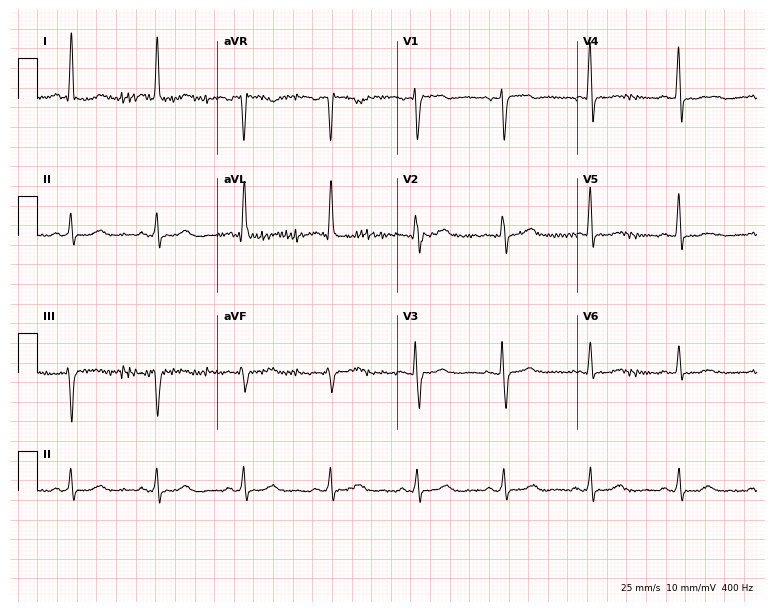
12-lead ECG from a 74-year-old female. Screened for six findings — first-degree AV block, right bundle branch block, left bundle branch block, sinus bradycardia, atrial fibrillation, sinus tachycardia — none is recorded.